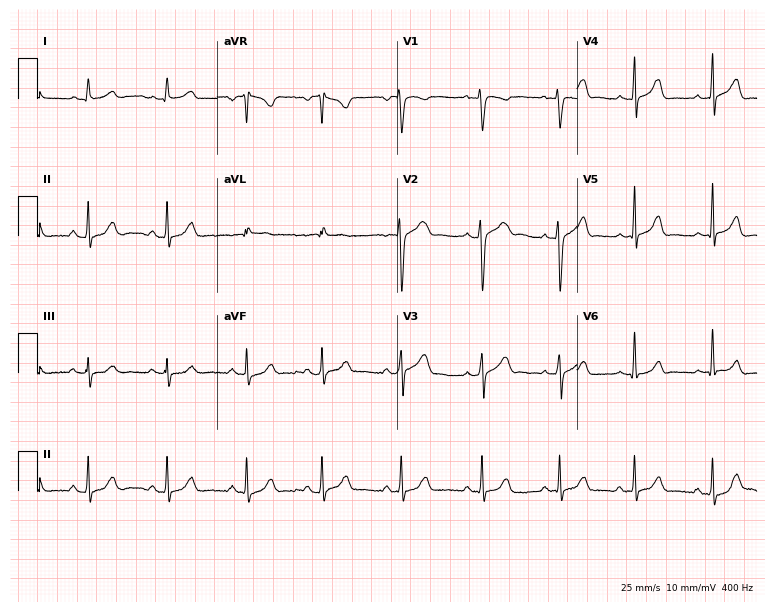
Resting 12-lead electrocardiogram. Patient: a female, 25 years old. Read as a normal ECG.